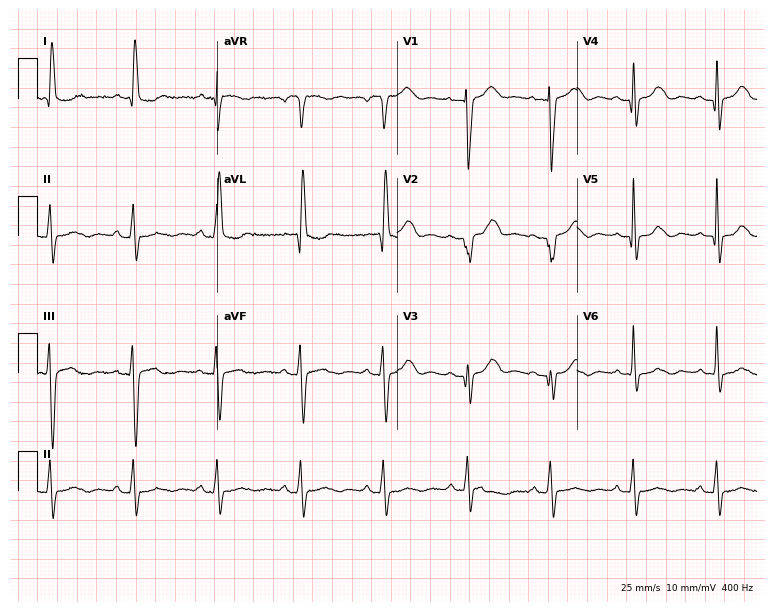
12-lead ECG (7.3-second recording at 400 Hz) from a female patient, 77 years old. Screened for six findings — first-degree AV block, right bundle branch block, left bundle branch block, sinus bradycardia, atrial fibrillation, sinus tachycardia — none is recorded. Other findings, if any, are not listed.